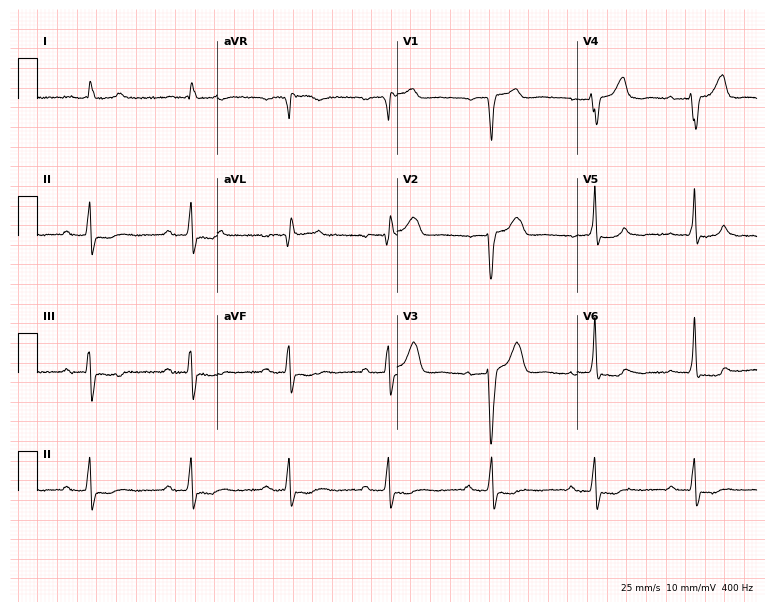
Resting 12-lead electrocardiogram (7.3-second recording at 400 Hz). Patient: a man, 75 years old. The tracing shows first-degree AV block.